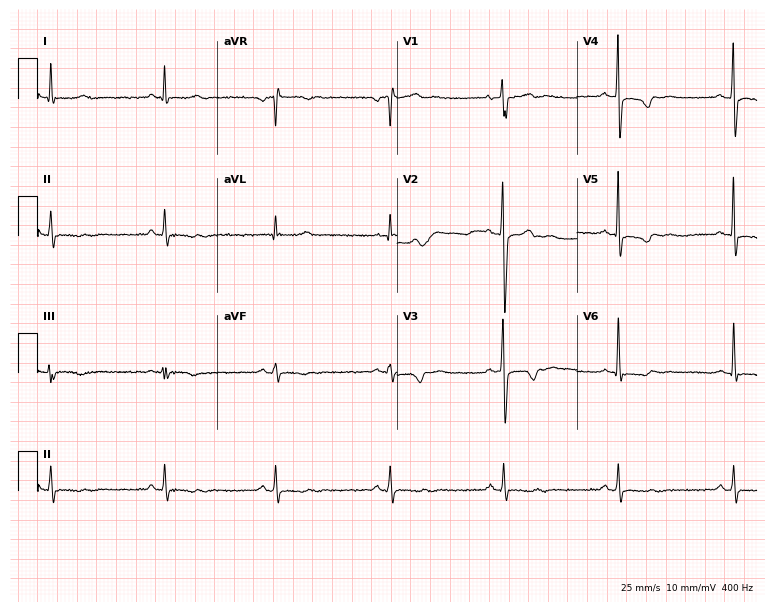
12-lead ECG (7.3-second recording at 400 Hz) from a 55-year-old male. Screened for six findings — first-degree AV block, right bundle branch block, left bundle branch block, sinus bradycardia, atrial fibrillation, sinus tachycardia — none is recorded. Findings outside these six are not listed.